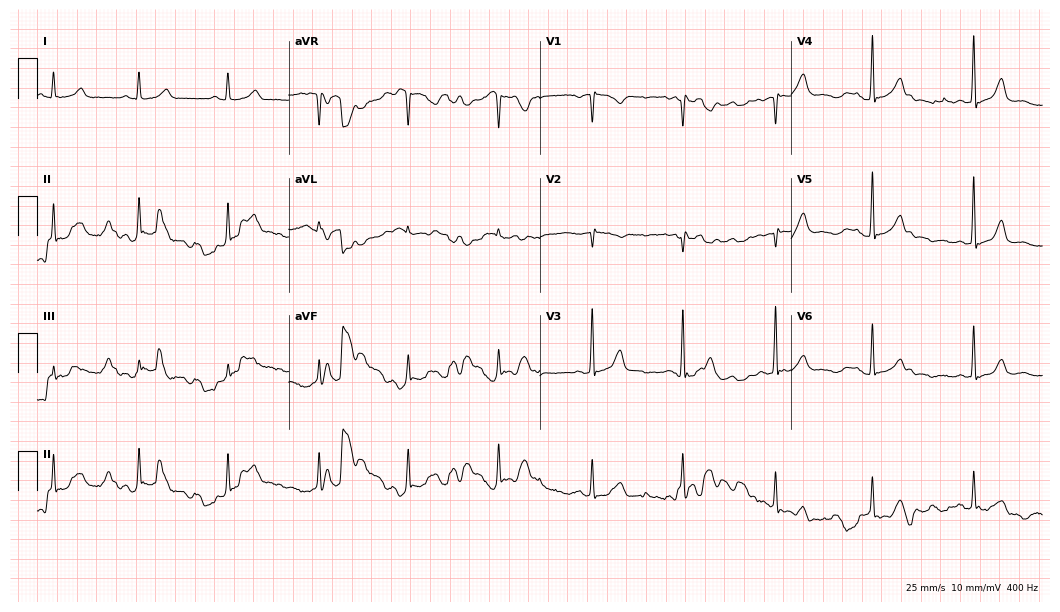
Resting 12-lead electrocardiogram. Patient: a woman, 50 years old. None of these six findings is recorded: first-degree AV block, right bundle branch block, left bundle branch block, sinus bradycardia, atrial fibrillation, sinus tachycardia.